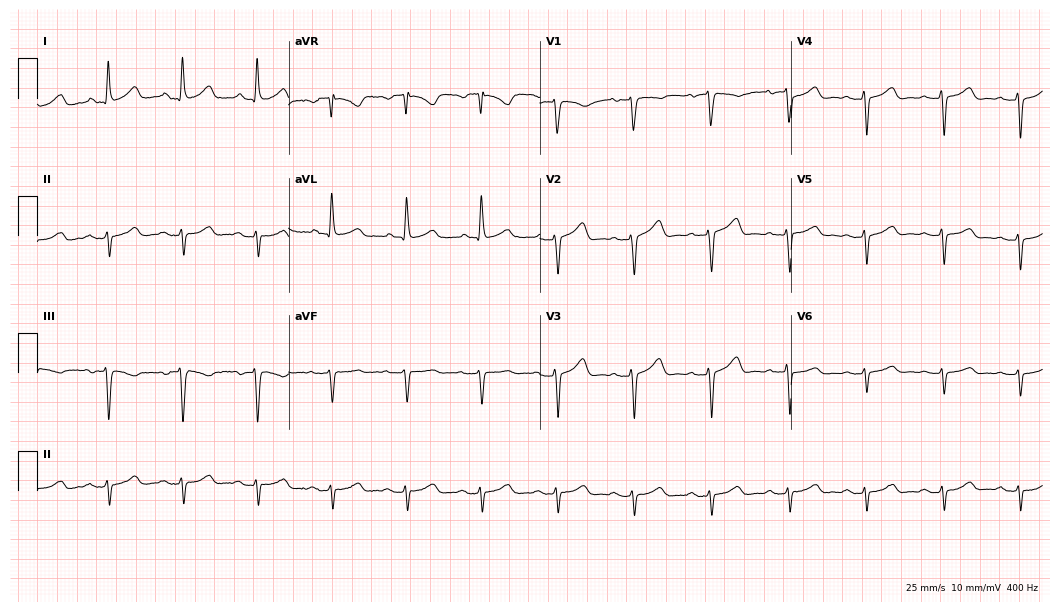
12-lead ECG from a female patient, 73 years old (10.2-second recording at 400 Hz). No first-degree AV block, right bundle branch block, left bundle branch block, sinus bradycardia, atrial fibrillation or sinus tachycardia recorded for this tracing.